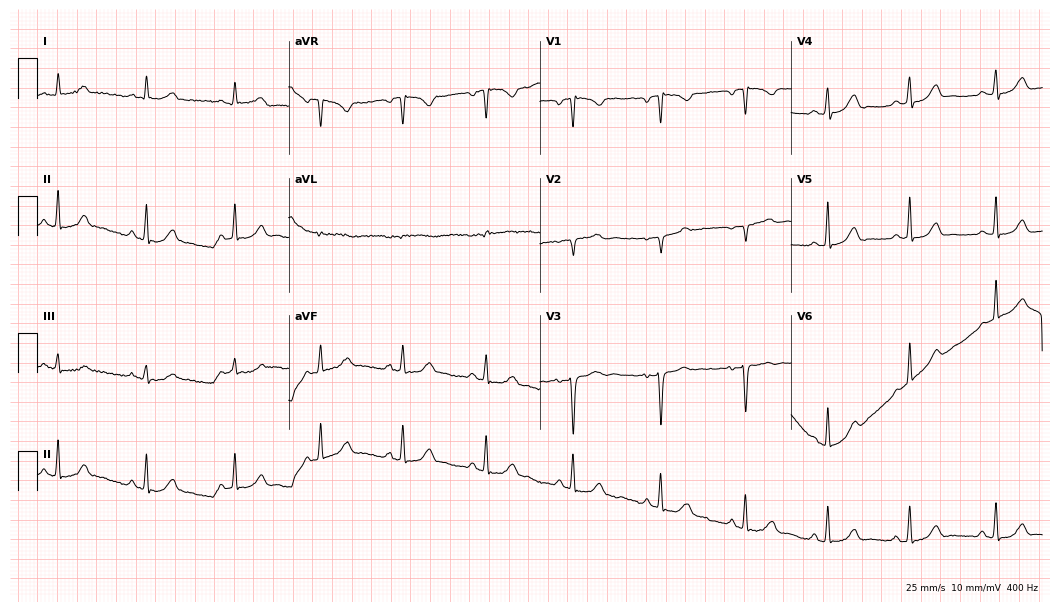
Standard 12-lead ECG recorded from a female, 34 years old (10.2-second recording at 400 Hz). Read as a normal ECG.